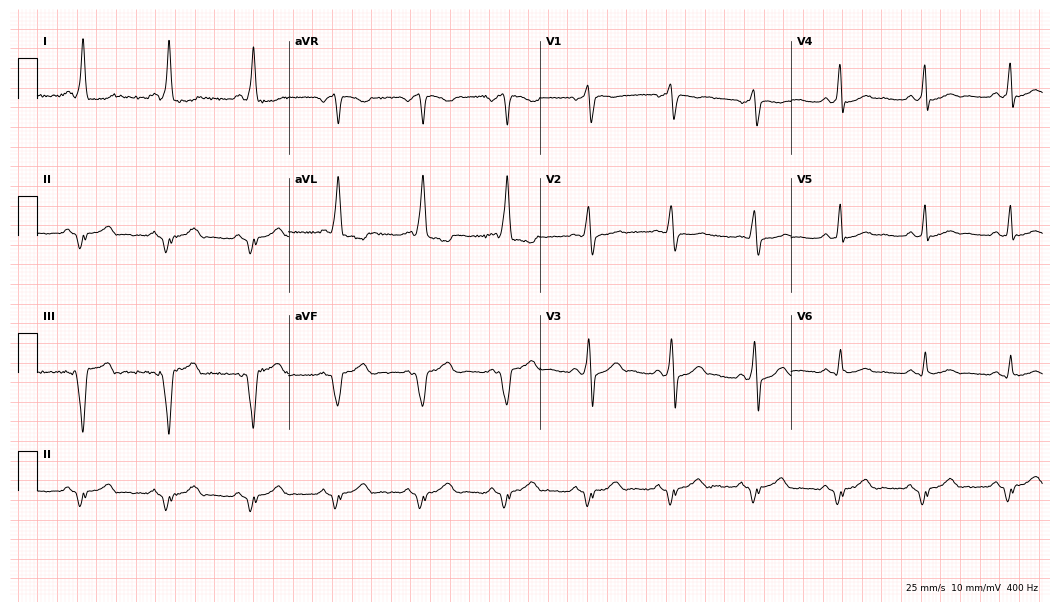
Standard 12-lead ECG recorded from a man, 49 years old (10.2-second recording at 400 Hz). The tracing shows left bundle branch block (LBBB).